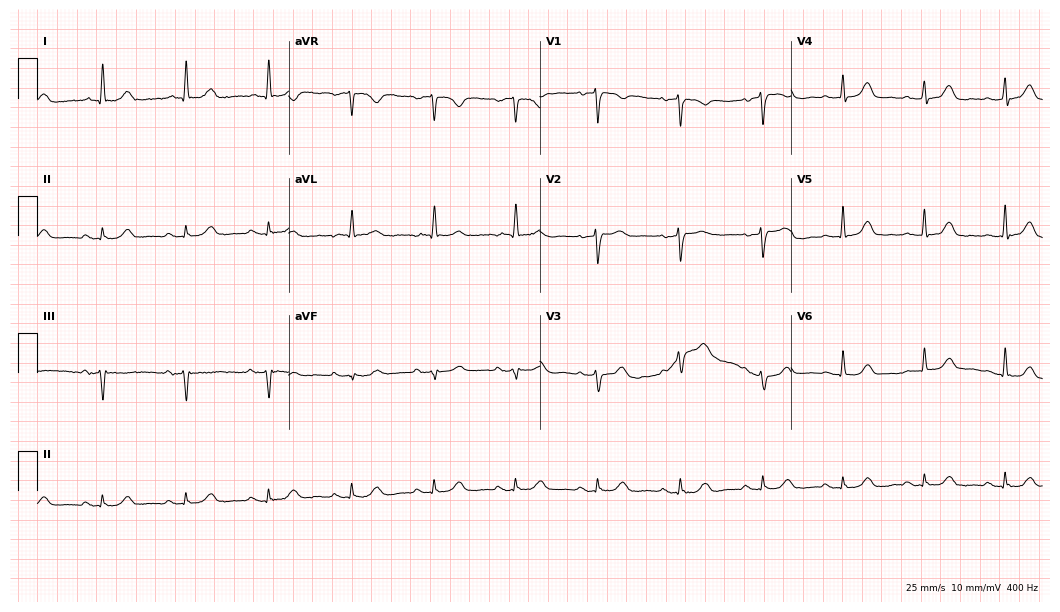
12-lead ECG from a female, 85 years old. Labelled as a normal ECG.